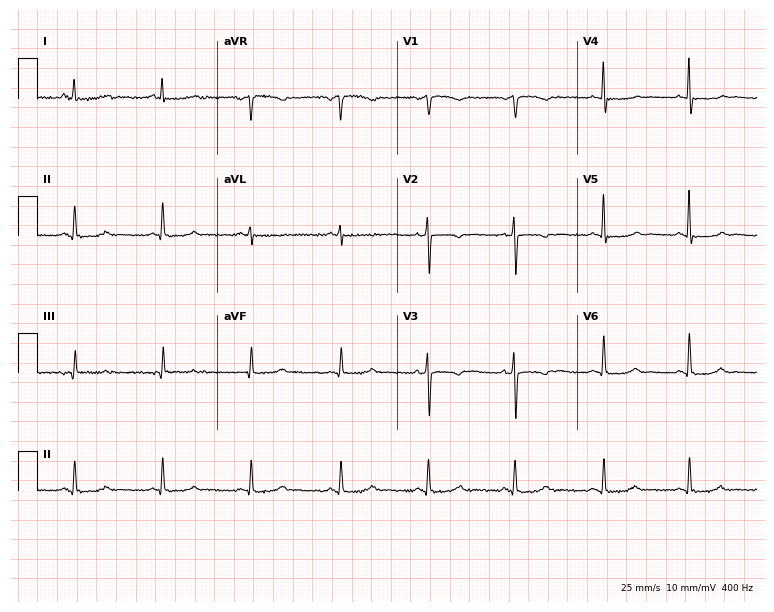
Standard 12-lead ECG recorded from a 61-year-old female patient (7.3-second recording at 400 Hz). None of these six findings is recorded: first-degree AV block, right bundle branch block, left bundle branch block, sinus bradycardia, atrial fibrillation, sinus tachycardia.